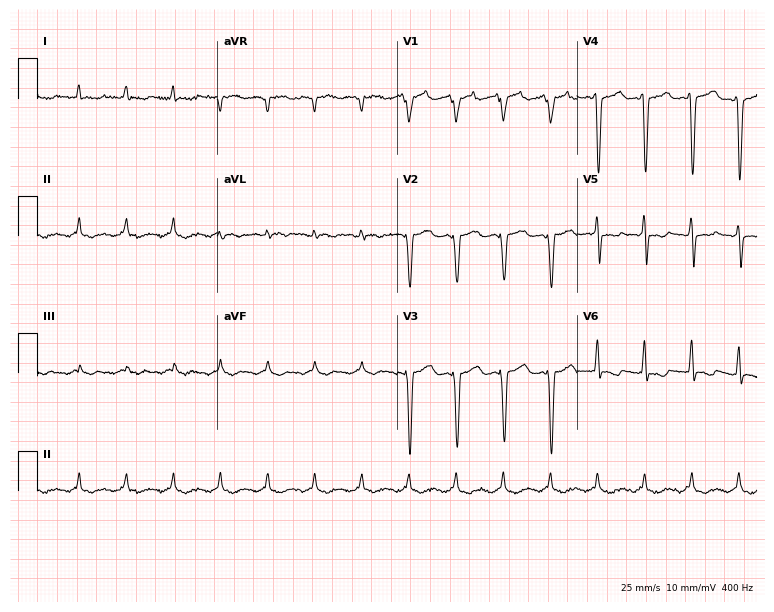
ECG — a 79-year-old male patient. Screened for six findings — first-degree AV block, right bundle branch block, left bundle branch block, sinus bradycardia, atrial fibrillation, sinus tachycardia — none is recorded.